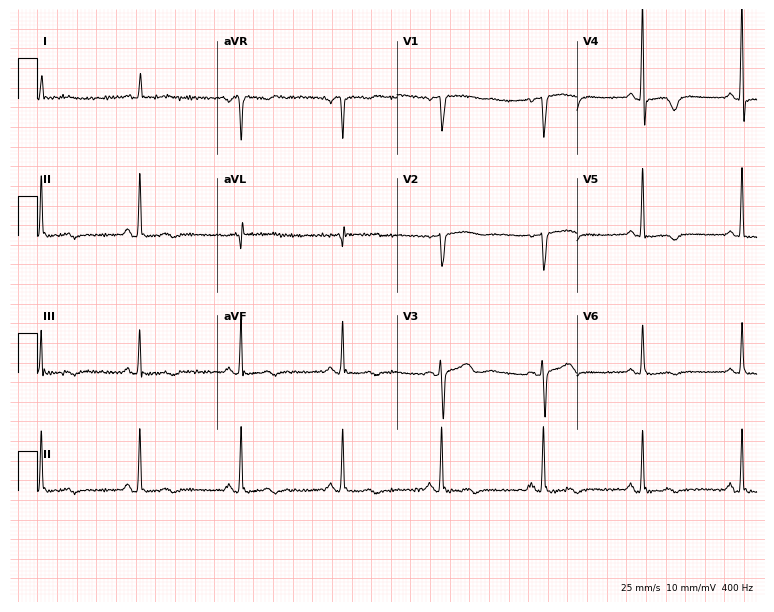
Standard 12-lead ECG recorded from a 63-year-old female patient. None of these six findings is recorded: first-degree AV block, right bundle branch block (RBBB), left bundle branch block (LBBB), sinus bradycardia, atrial fibrillation (AF), sinus tachycardia.